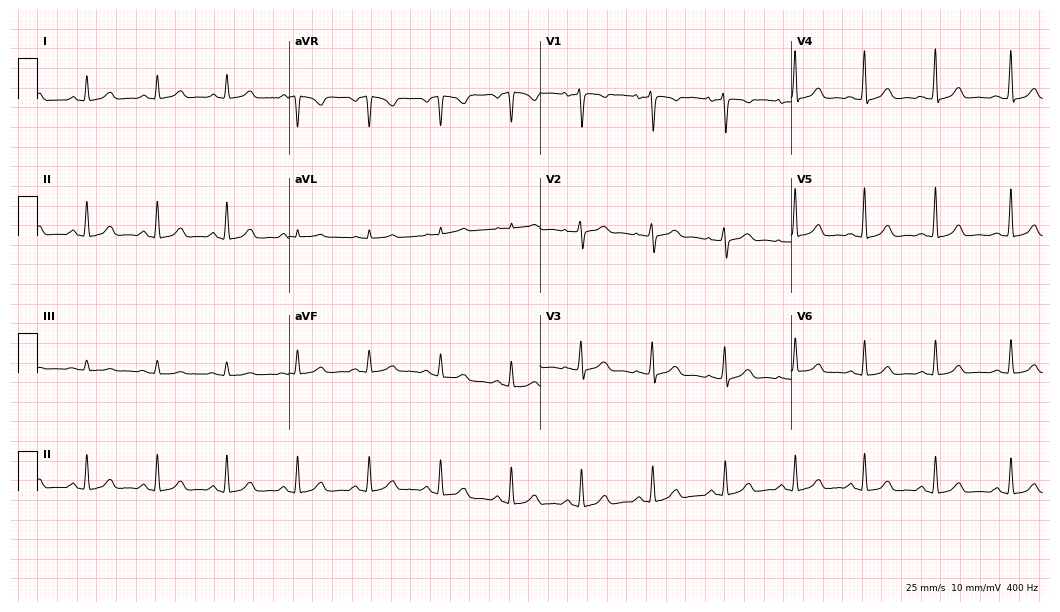
Standard 12-lead ECG recorded from a woman, 51 years old (10.2-second recording at 400 Hz). None of these six findings is recorded: first-degree AV block, right bundle branch block, left bundle branch block, sinus bradycardia, atrial fibrillation, sinus tachycardia.